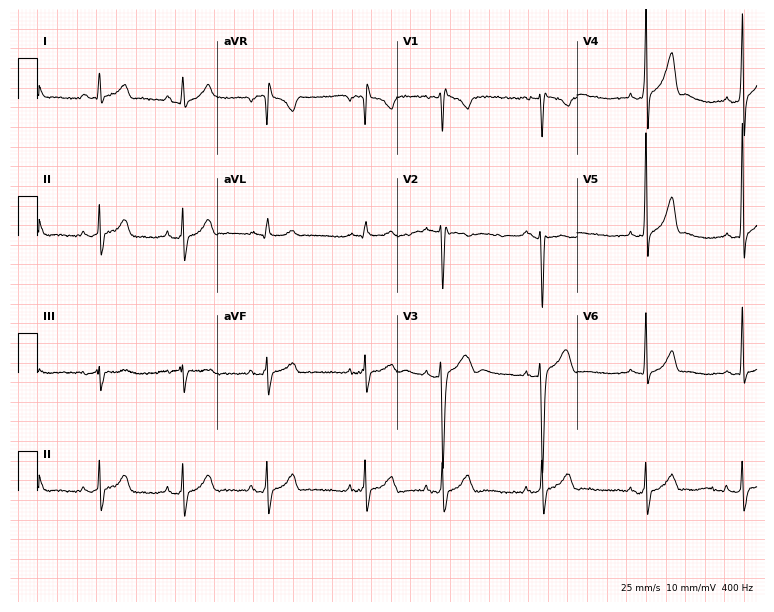
ECG — a man, 19 years old. Screened for six findings — first-degree AV block, right bundle branch block (RBBB), left bundle branch block (LBBB), sinus bradycardia, atrial fibrillation (AF), sinus tachycardia — none is recorded. Only these six findings were labelled.